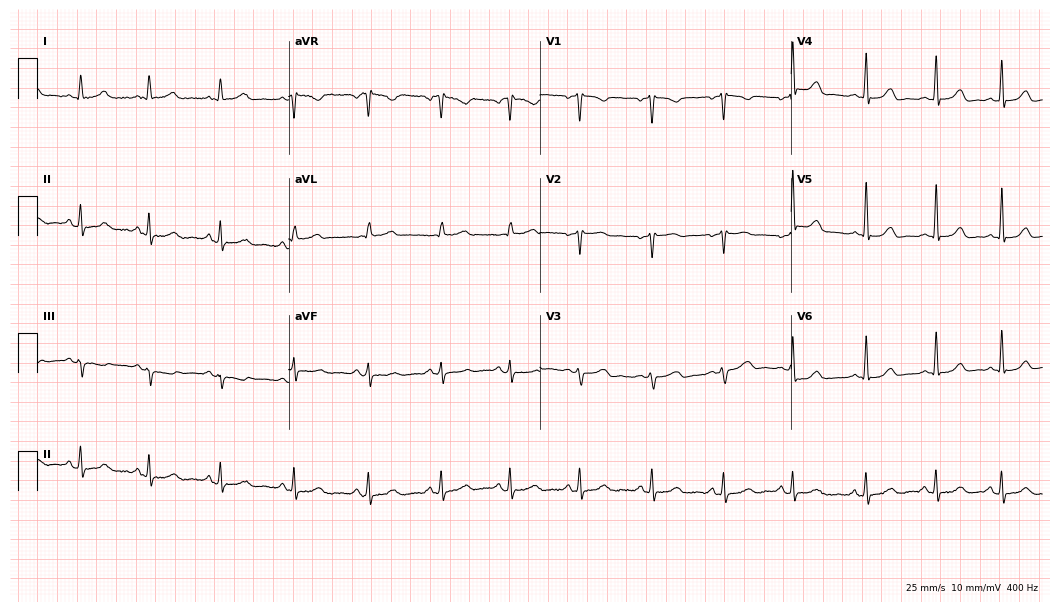
12-lead ECG from a female, 45 years old (10.2-second recording at 400 Hz). Recorded interpretation: within normal limits.